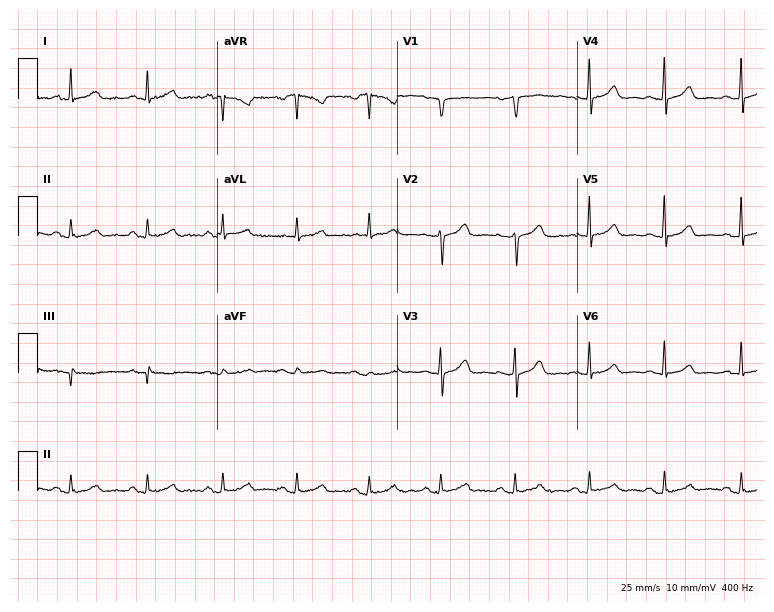
ECG (7.3-second recording at 400 Hz) — a female patient, 60 years old. Labelled as a normal ECG.